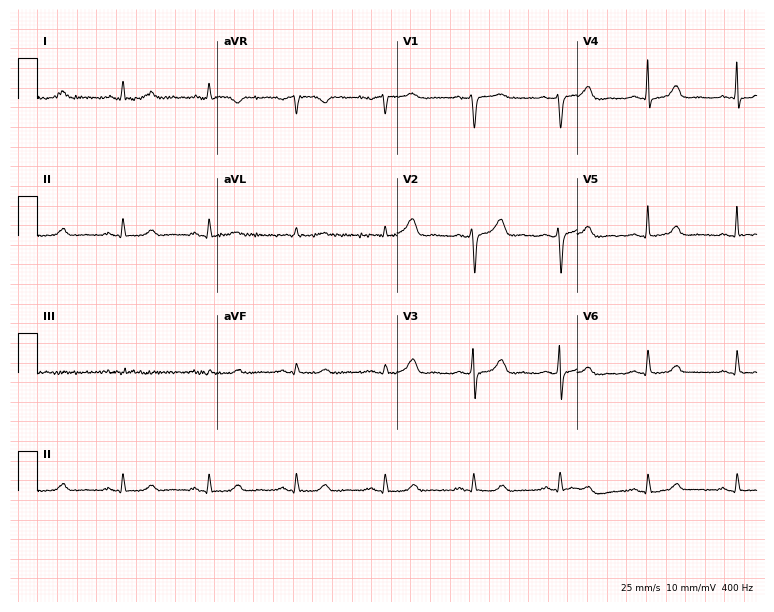
12-lead ECG from a woman, 73 years old (7.3-second recording at 400 Hz). Recorded interpretation: within normal limits.